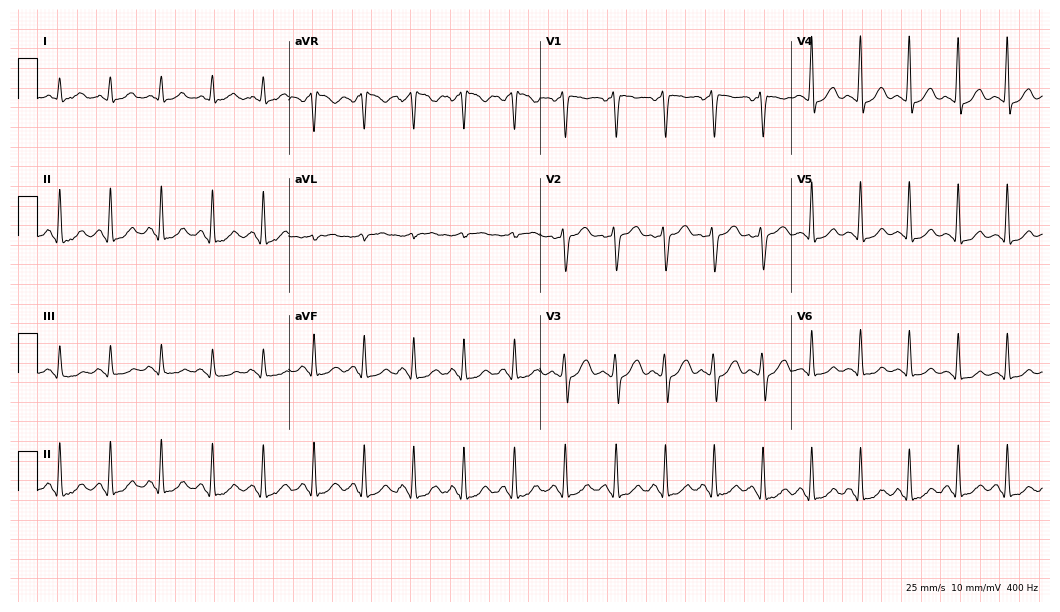
Standard 12-lead ECG recorded from a 41-year-old male (10.2-second recording at 400 Hz). The tracing shows sinus tachycardia (a sinus rate of 100 beats per minute or more).